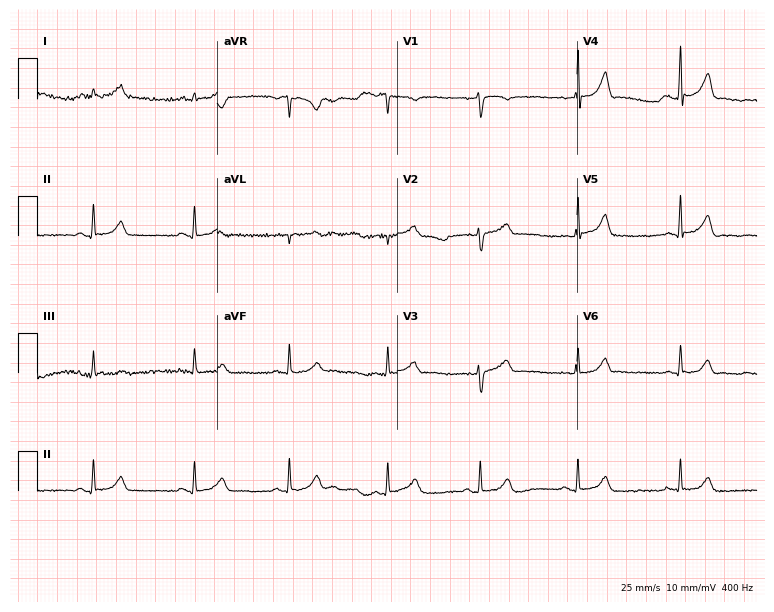
Electrocardiogram (7.3-second recording at 400 Hz), a 25-year-old female patient. Of the six screened findings (first-degree AV block, right bundle branch block (RBBB), left bundle branch block (LBBB), sinus bradycardia, atrial fibrillation (AF), sinus tachycardia), none is recorded. Other findings, if any, are not listed.